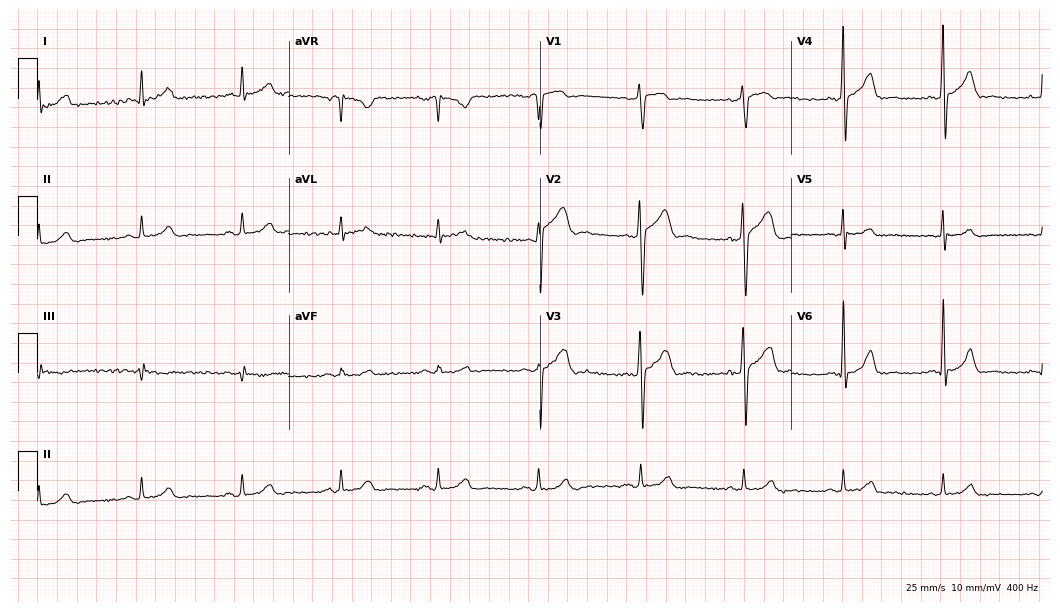
Resting 12-lead electrocardiogram (10.2-second recording at 400 Hz). Patient: a male, 46 years old. Read as a normal ECG.